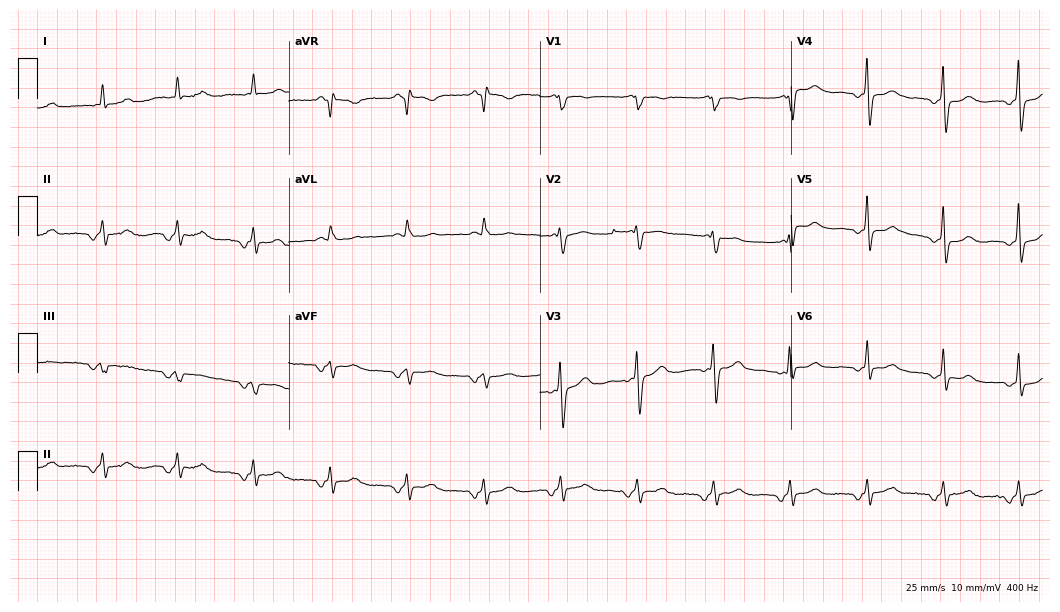
Resting 12-lead electrocardiogram. Patient: an 83-year-old female. None of these six findings is recorded: first-degree AV block, right bundle branch block, left bundle branch block, sinus bradycardia, atrial fibrillation, sinus tachycardia.